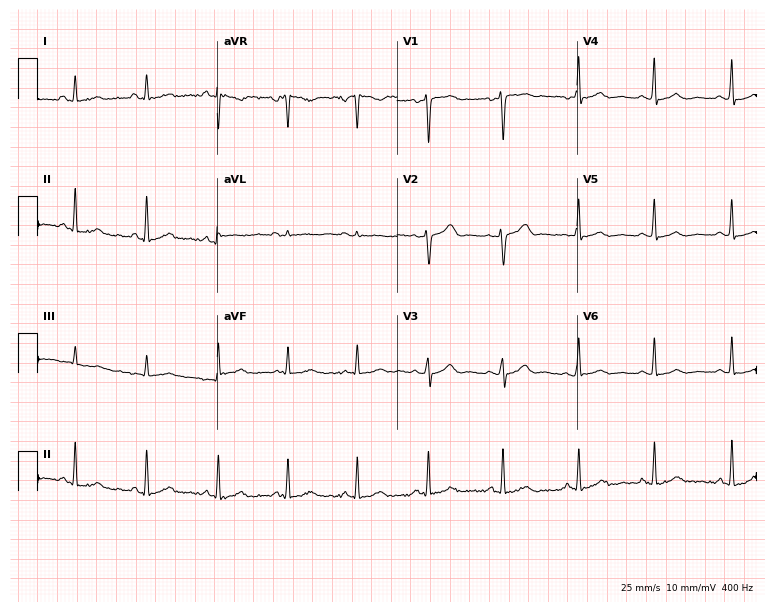
ECG (7.3-second recording at 400 Hz) — a female, 41 years old. Screened for six findings — first-degree AV block, right bundle branch block, left bundle branch block, sinus bradycardia, atrial fibrillation, sinus tachycardia — none is recorded.